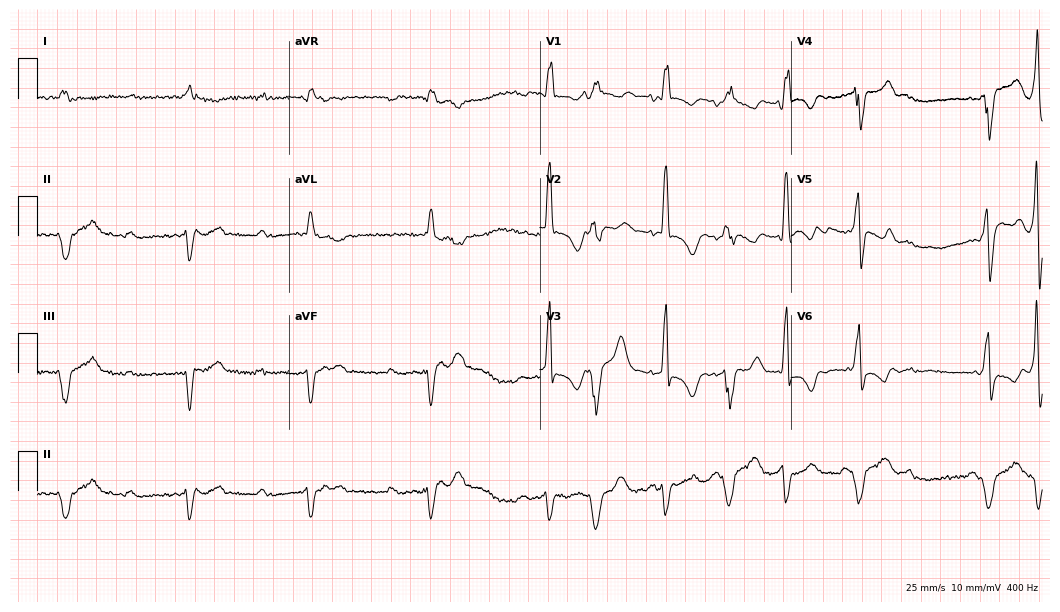
12-lead ECG (10.2-second recording at 400 Hz) from a 50-year-old man. Screened for six findings — first-degree AV block, right bundle branch block, left bundle branch block, sinus bradycardia, atrial fibrillation, sinus tachycardia — none is recorded.